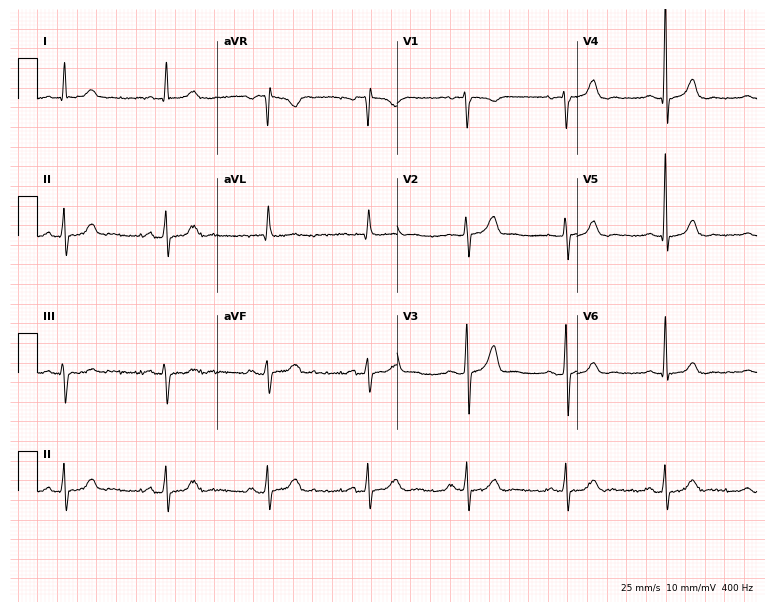
12-lead ECG from a man, 78 years old (7.3-second recording at 400 Hz). Recorded interpretation: within normal limits.